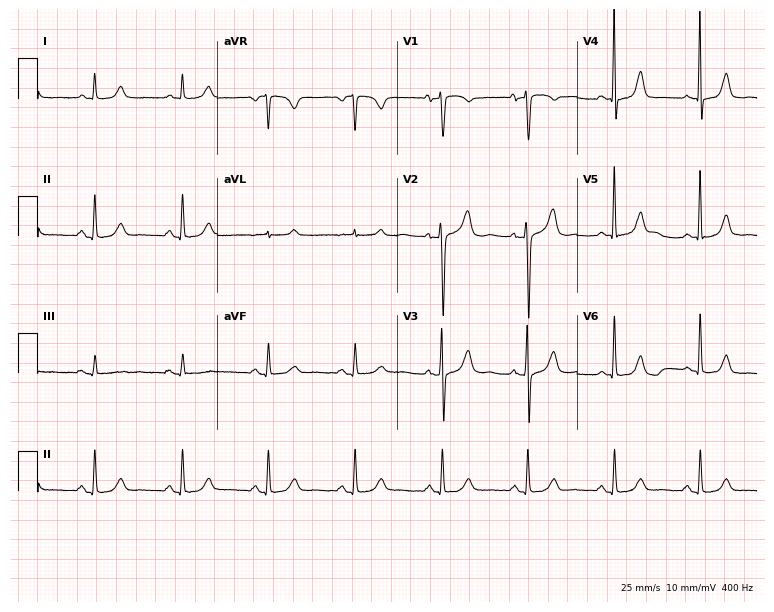
Electrocardiogram, an 81-year-old woman. Overall reading on record: normal ECG.